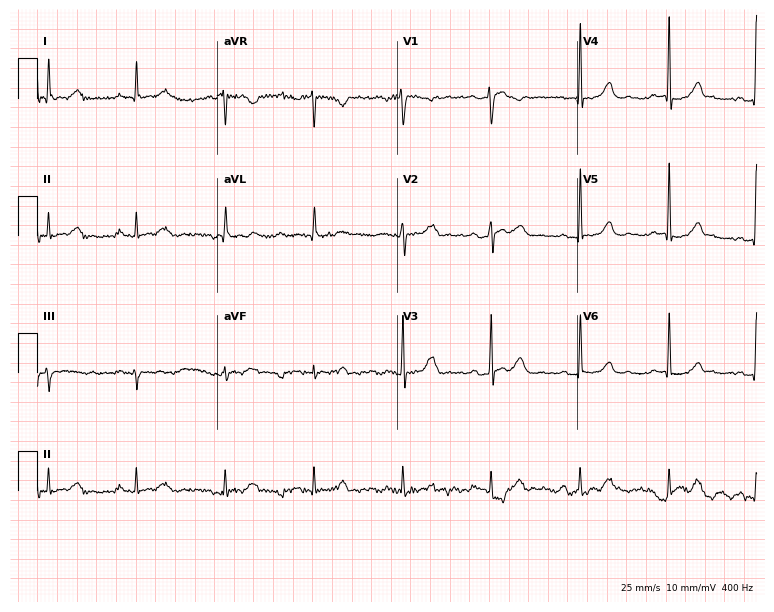
Standard 12-lead ECG recorded from a 77-year-old female patient (7.3-second recording at 400 Hz). None of these six findings is recorded: first-degree AV block, right bundle branch block, left bundle branch block, sinus bradycardia, atrial fibrillation, sinus tachycardia. Only these six findings were labelled.